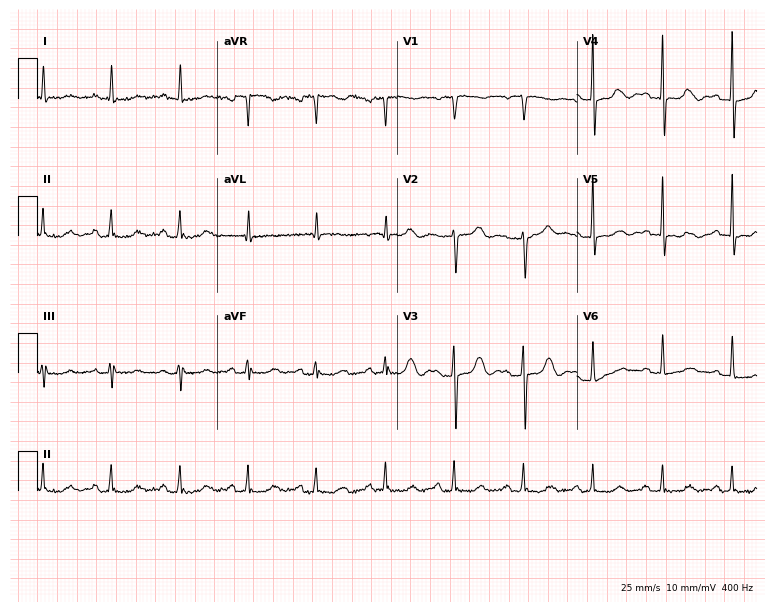
Electrocardiogram, a female, 80 years old. Overall reading on record: normal ECG.